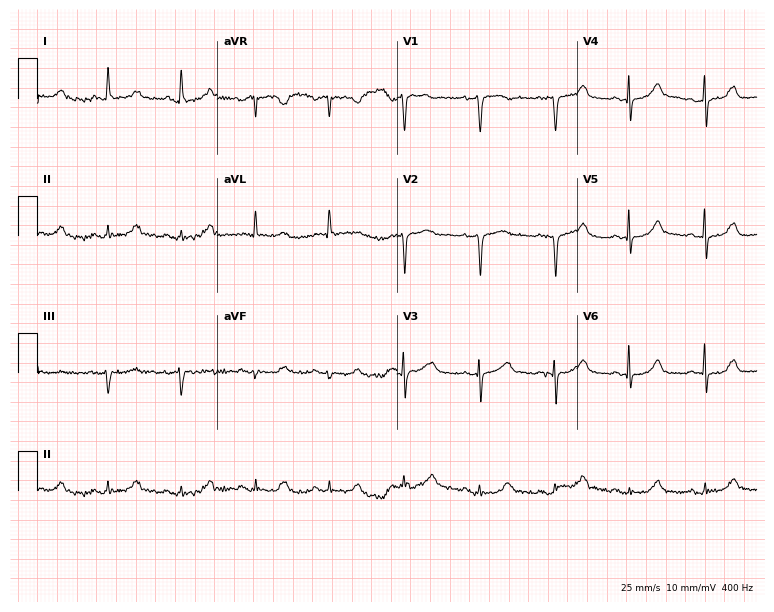
ECG — a woman, 81 years old. Screened for six findings — first-degree AV block, right bundle branch block (RBBB), left bundle branch block (LBBB), sinus bradycardia, atrial fibrillation (AF), sinus tachycardia — none is recorded.